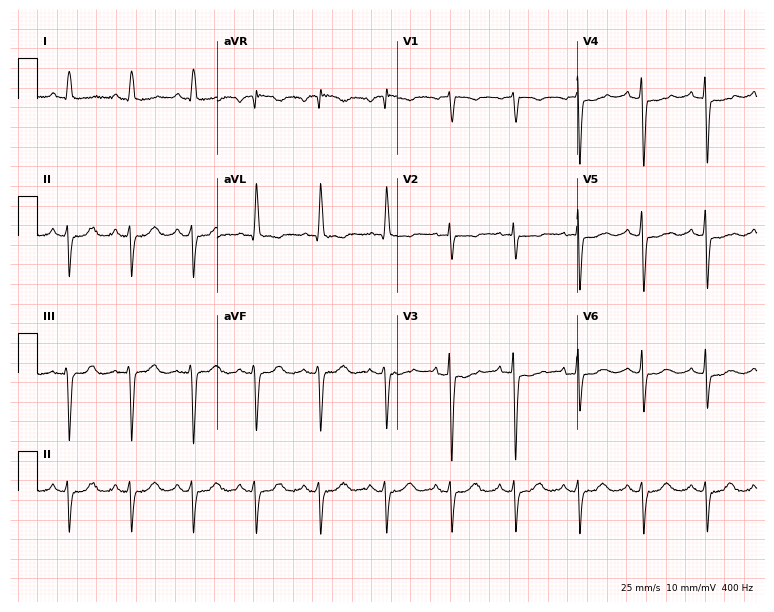
12-lead ECG from a woman, 73 years old (7.3-second recording at 400 Hz). No first-degree AV block, right bundle branch block, left bundle branch block, sinus bradycardia, atrial fibrillation or sinus tachycardia recorded for this tracing. Other findings, if any, are not listed.